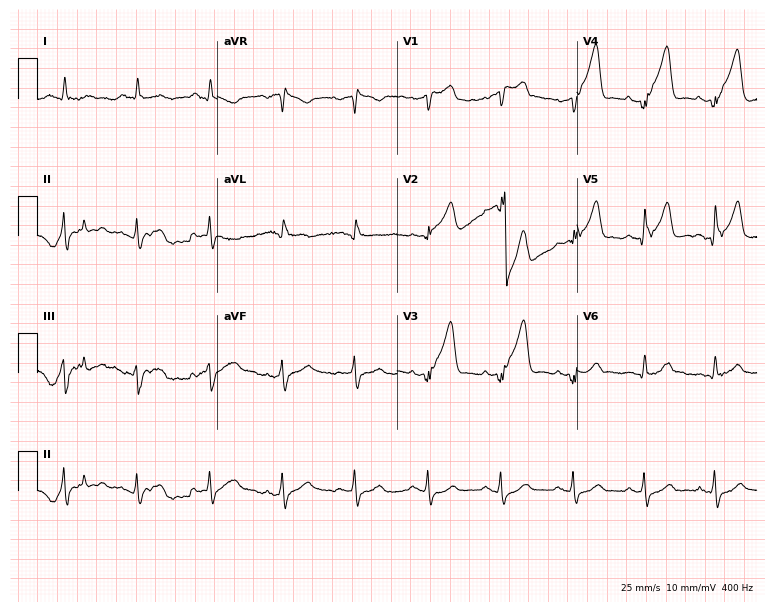
ECG — a male patient, 60 years old. Screened for six findings — first-degree AV block, right bundle branch block, left bundle branch block, sinus bradycardia, atrial fibrillation, sinus tachycardia — none is recorded.